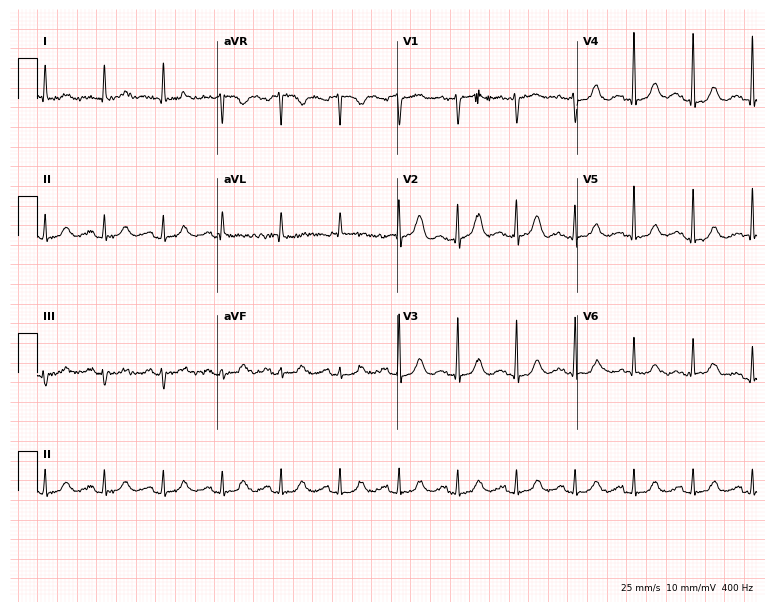
Electrocardiogram (7.3-second recording at 400 Hz), a female patient, 84 years old. Interpretation includes sinus tachycardia (a sinus rate of 100 beats per minute or more).